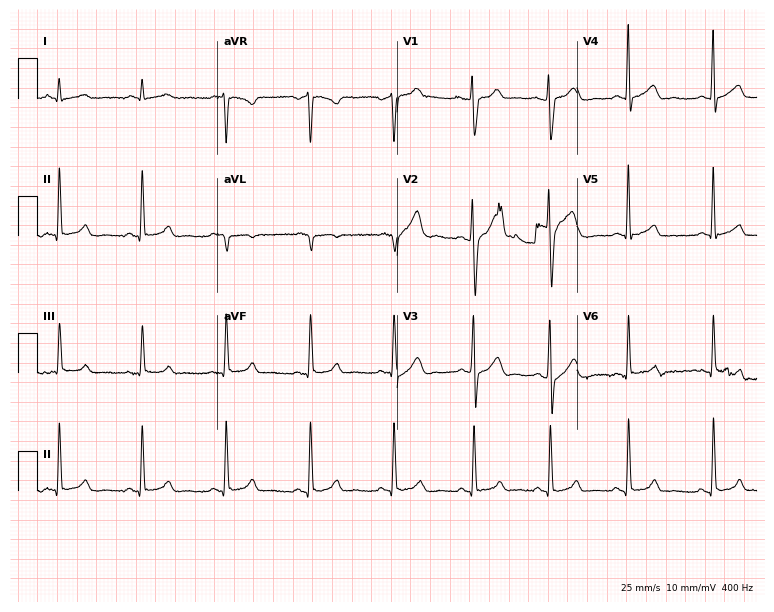
Resting 12-lead electrocardiogram (7.3-second recording at 400 Hz). Patient: a 47-year-old male. Read as a normal ECG.